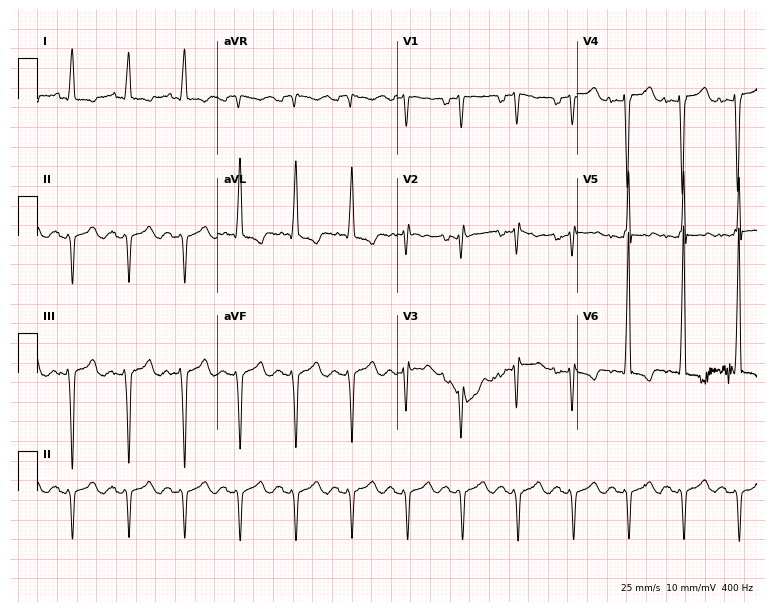
Electrocardiogram, a 48-year-old male. Interpretation includes sinus tachycardia (a sinus rate of 100 beats per minute or more).